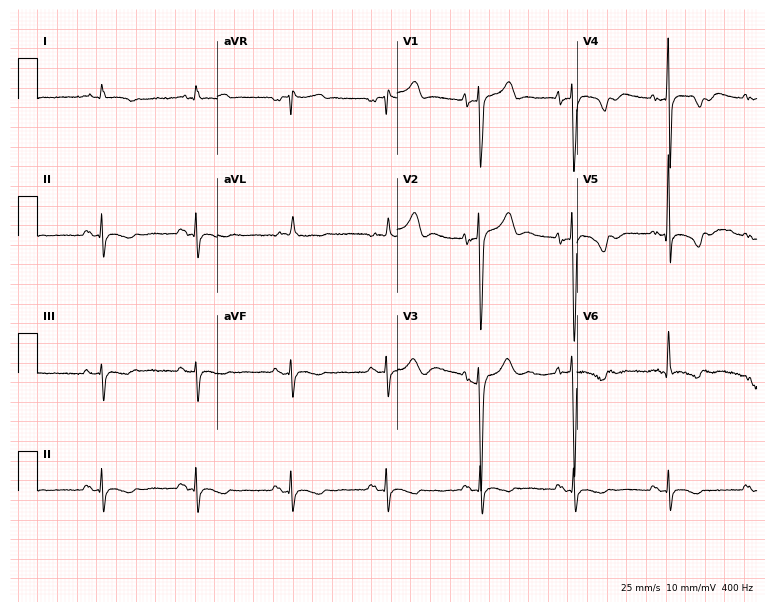
Resting 12-lead electrocardiogram. Patient: an 82-year-old man. None of these six findings is recorded: first-degree AV block, right bundle branch block, left bundle branch block, sinus bradycardia, atrial fibrillation, sinus tachycardia.